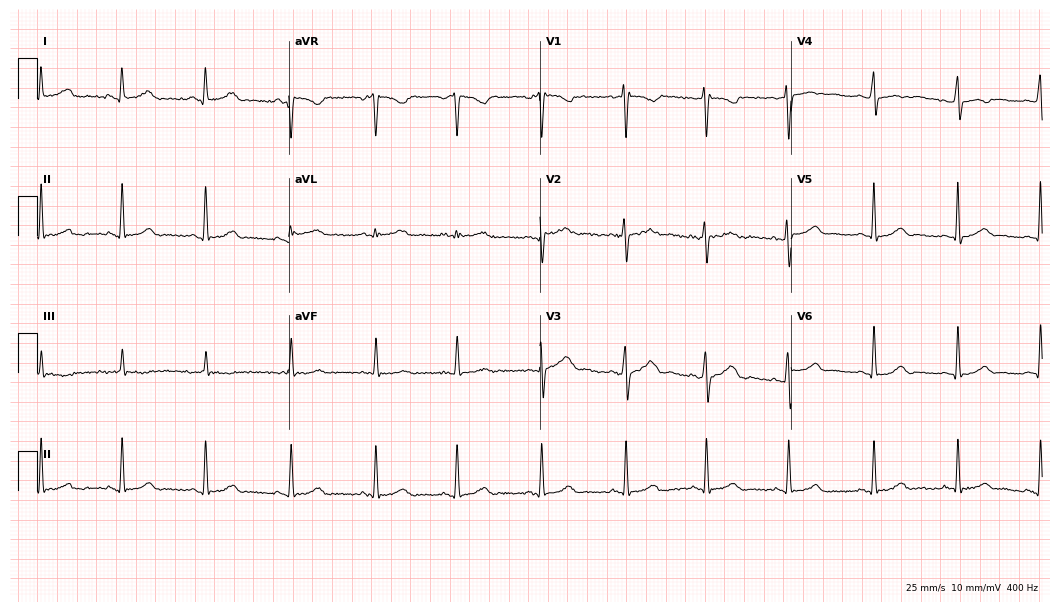
Electrocardiogram (10.2-second recording at 400 Hz), a woman, 22 years old. Overall reading on record: normal ECG.